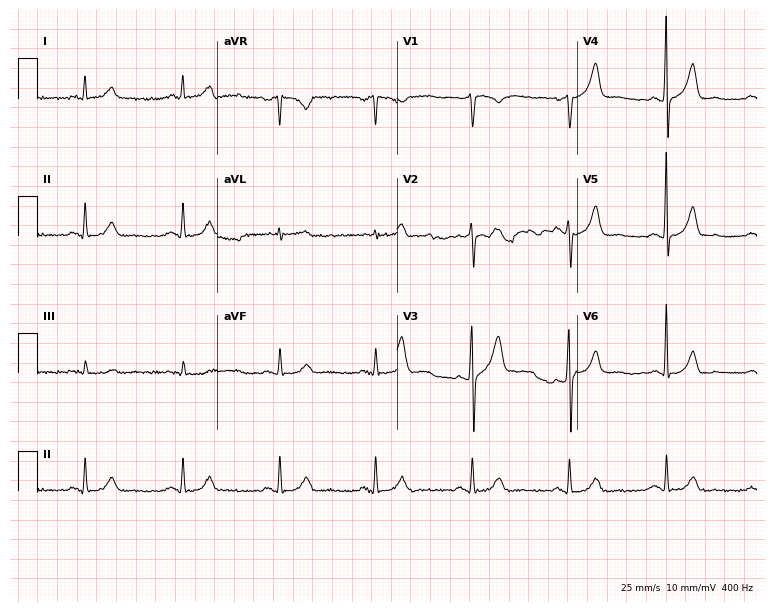
ECG (7.3-second recording at 400 Hz) — a male patient, 68 years old. Labelled as a normal ECG.